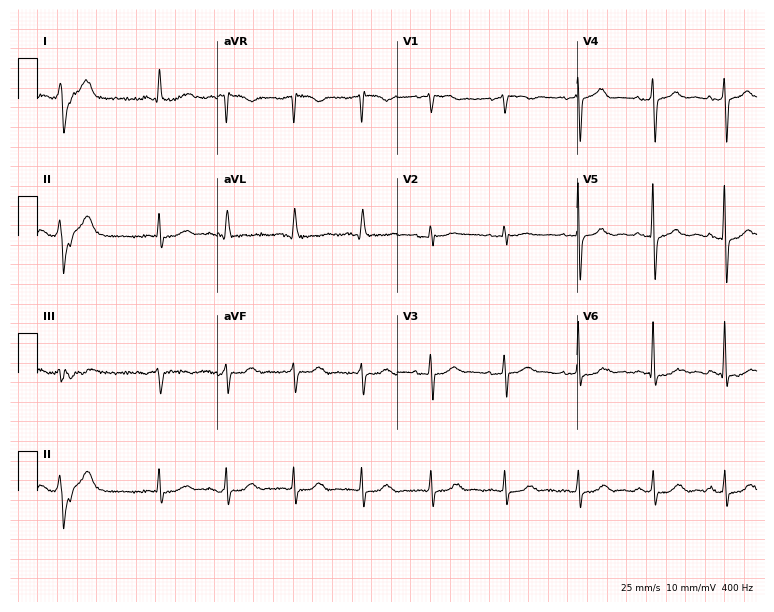
ECG — a female, 65 years old. Labelled as a normal ECG.